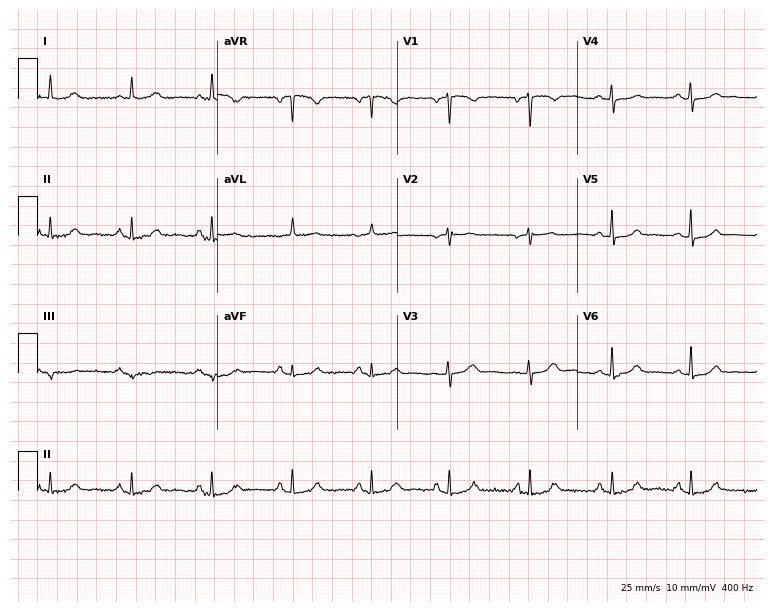
12-lead ECG (7.3-second recording at 400 Hz) from a woman, 47 years old. Labelled as a normal ECG.